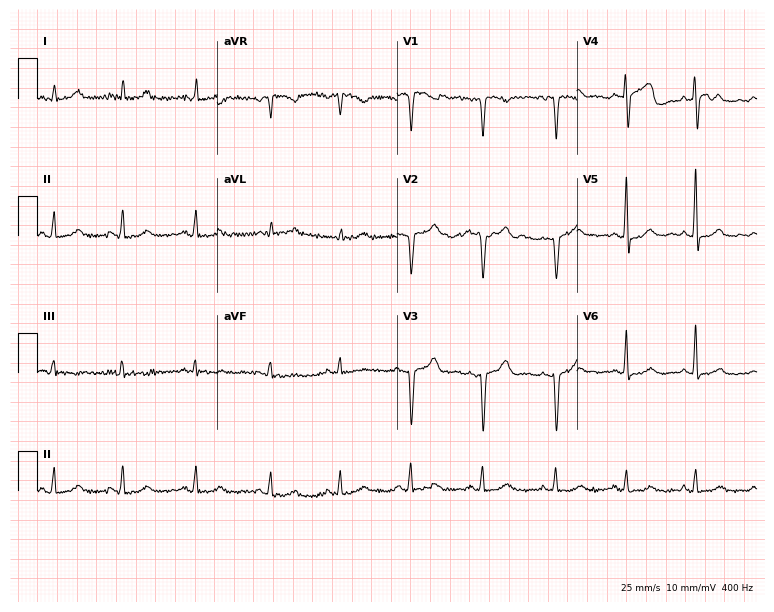
Electrocardiogram (7.3-second recording at 400 Hz), a female patient, 36 years old. Overall reading on record: normal ECG.